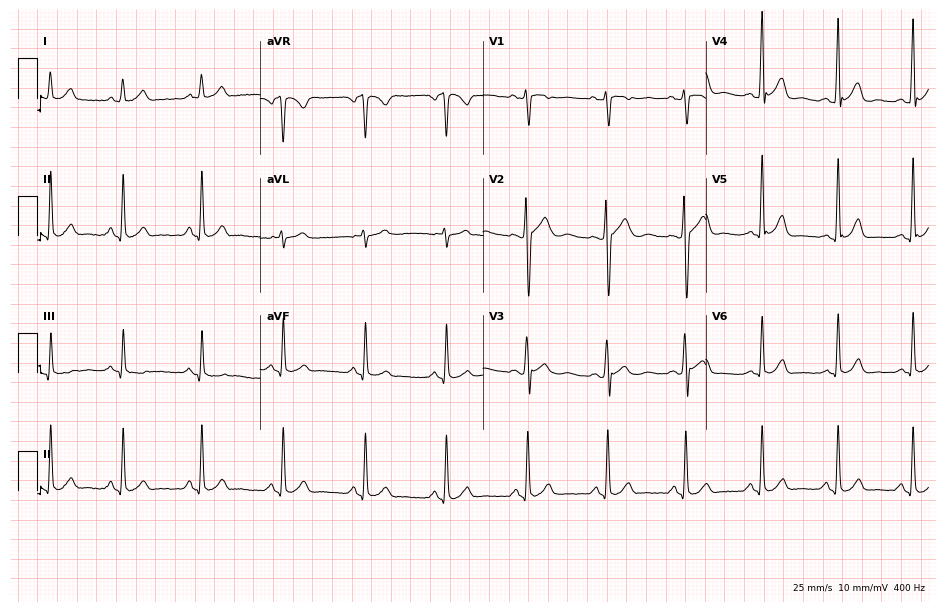
12-lead ECG from a 24-year-old male (9.1-second recording at 400 Hz). Recorded interpretation: within normal limits.